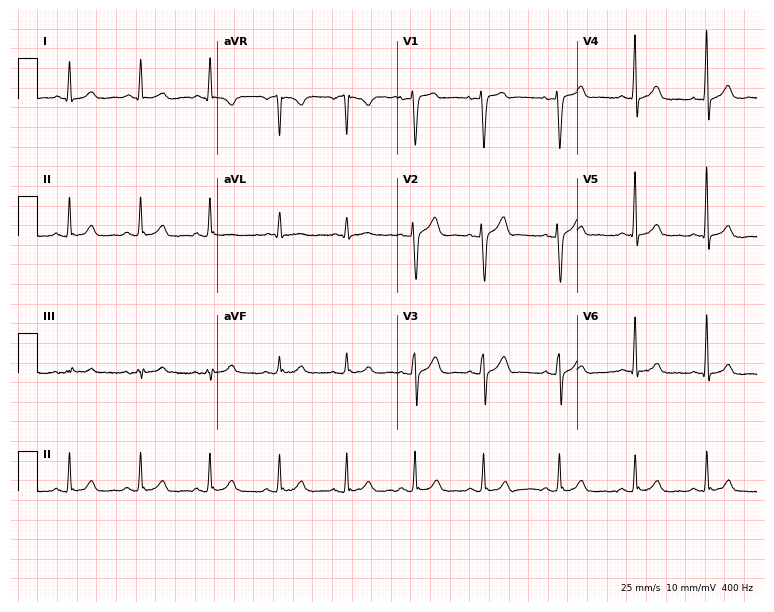
12-lead ECG from a male patient, 25 years old (7.3-second recording at 400 Hz). Recorded interpretation: within normal limits.